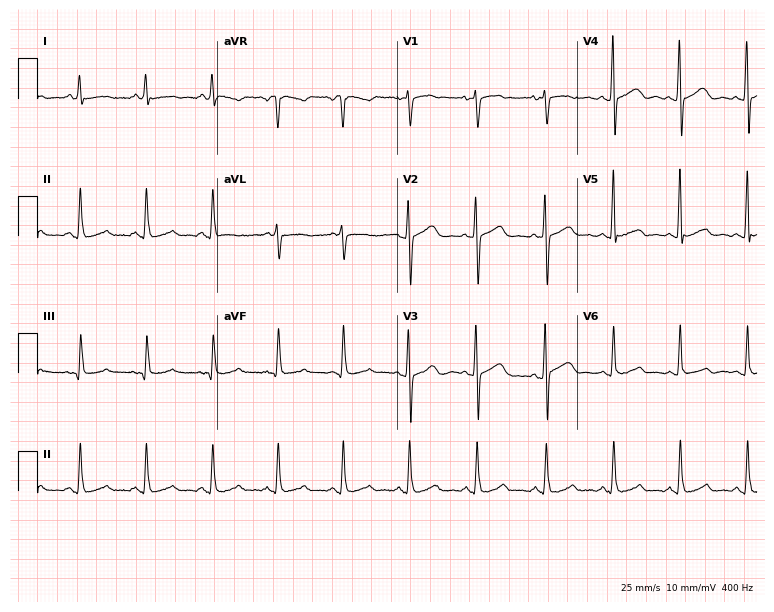
Electrocardiogram, a 51-year-old female. Overall reading on record: normal ECG.